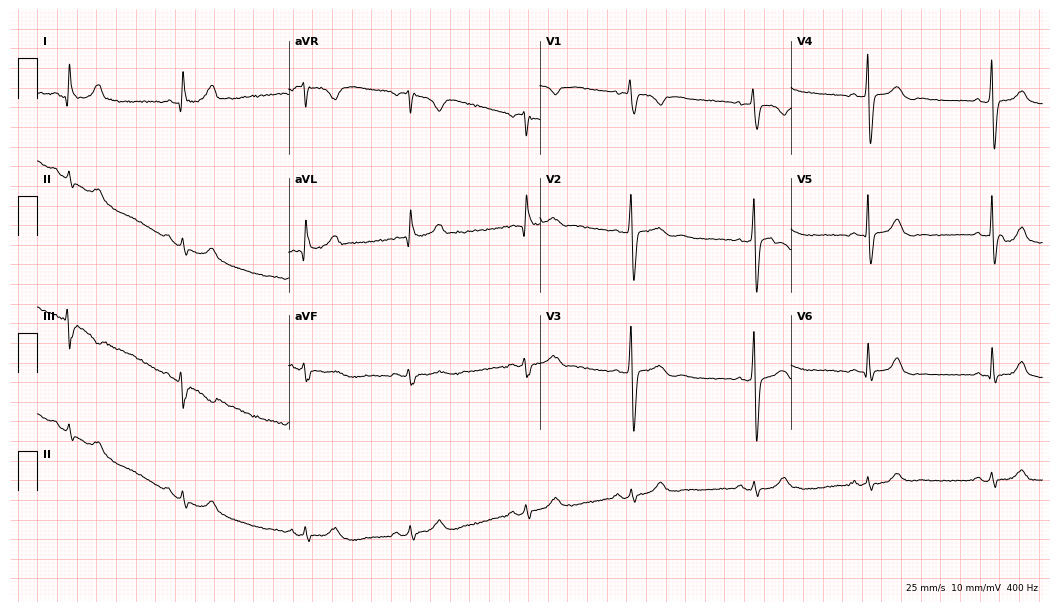
12-lead ECG from a 35-year-old female. Screened for six findings — first-degree AV block, right bundle branch block, left bundle branch block, sinus bradycardia, atrial fibrillation, sinus tachycardia — none is recorded. Findings outside these six are not listed.